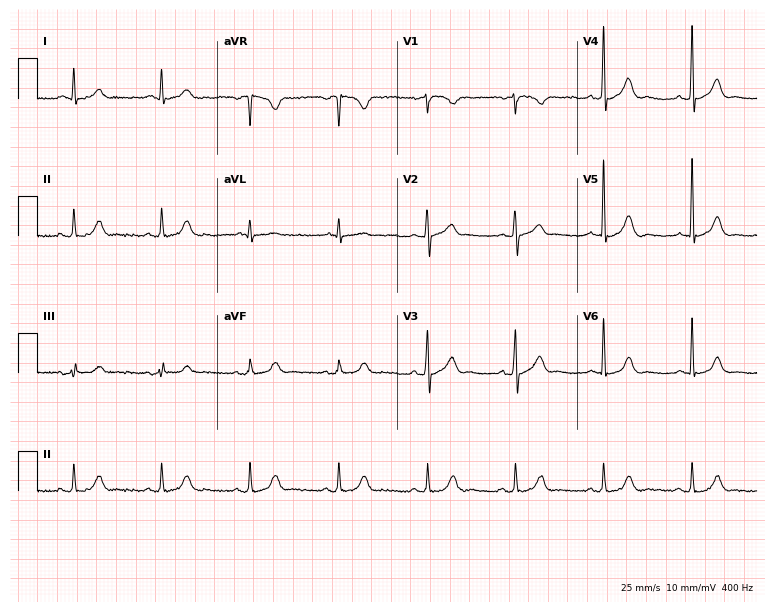
Resting 12-lead electrocardiogram (7.3-second recording at 400 Hz). Patient: a 79-year-old man. Read as a normal ECG.